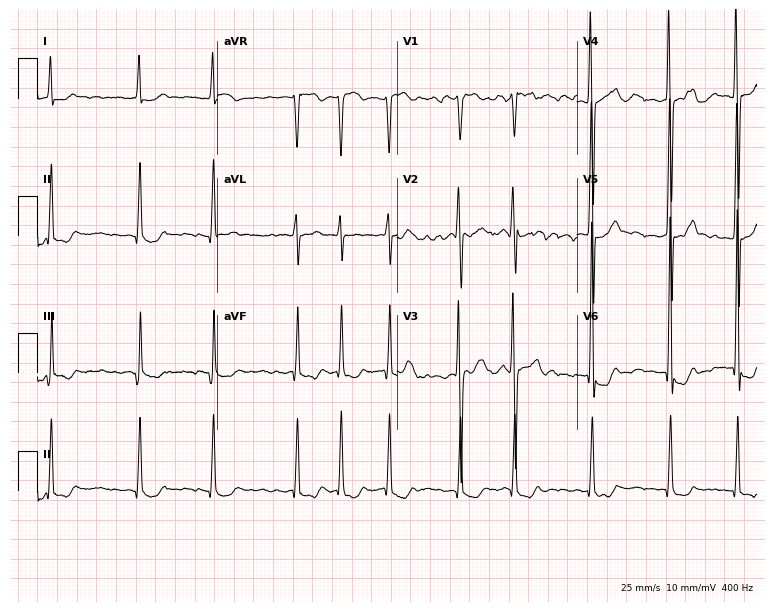
Resting 12-lead electrocardiogram. Patient: a man, 58 years old. The tracing shows atrial fibrillation.